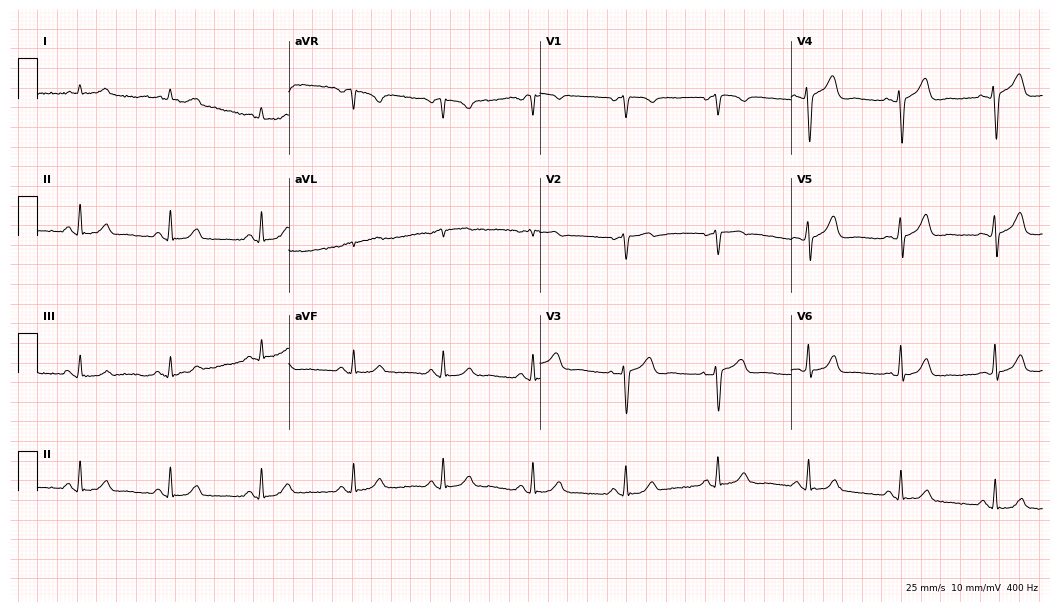
Standard 12-lead ECG recorded from a 61-year-old male. Read as a normal ECG.